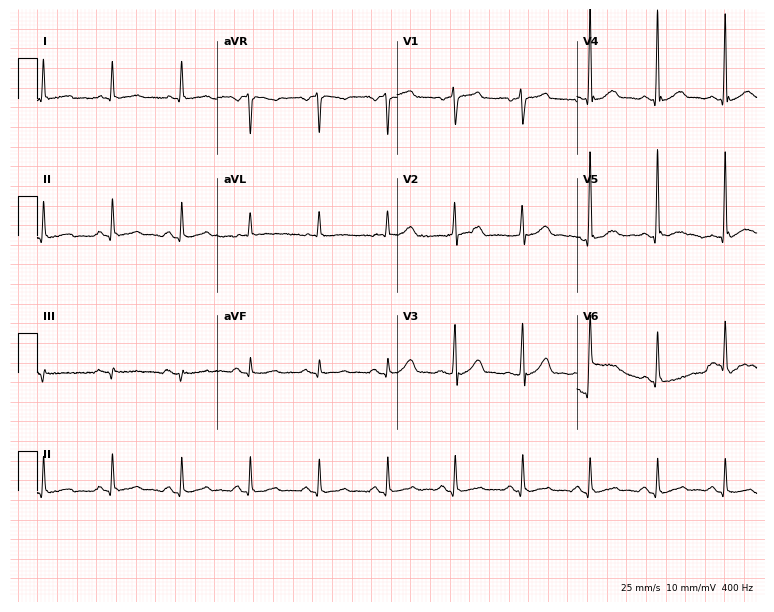
Standard 12-lead ECG recorded from a male, 75 years old. None of these six findings is recorded: first-degree AV block, right bundle branch block, left bundle branch block, sinus bradycardia, atrial fibrillation, sinus tachycardia.